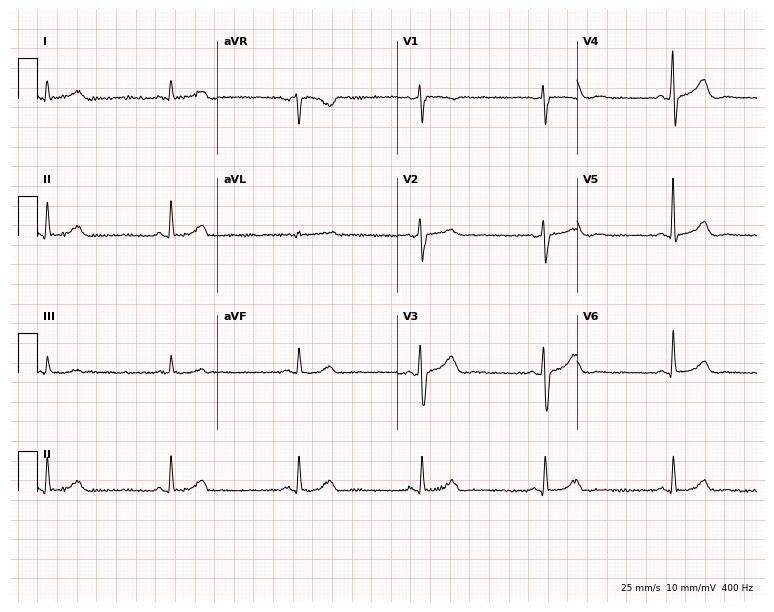
Standard 12-lead ECG recorded from a male, 58 years old (7.3-second recording at 400 Hz). The tracing shows sinus bradycardia (a sinus rate of 50 beats per minute or less).